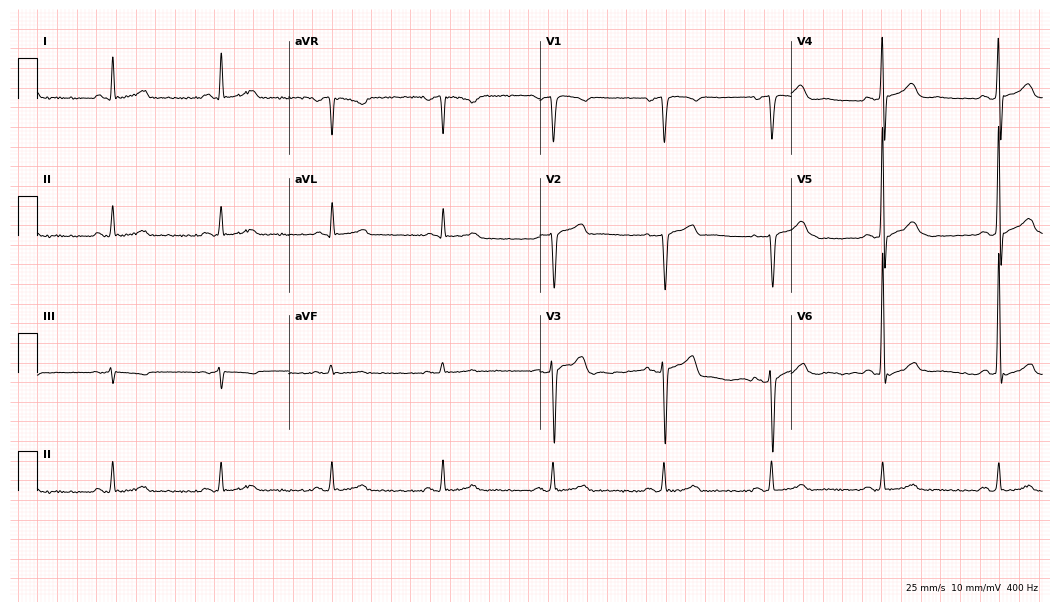
12-lead ECG (10.2-second recording at 400 Hz) from a 46-year-old male patient. Screened for six findings — first-degree AV block, right bundle branch block, left bundle branch block, sinus bradycardia, atrial fibrillation, sinus tachycardia — none is recorded.